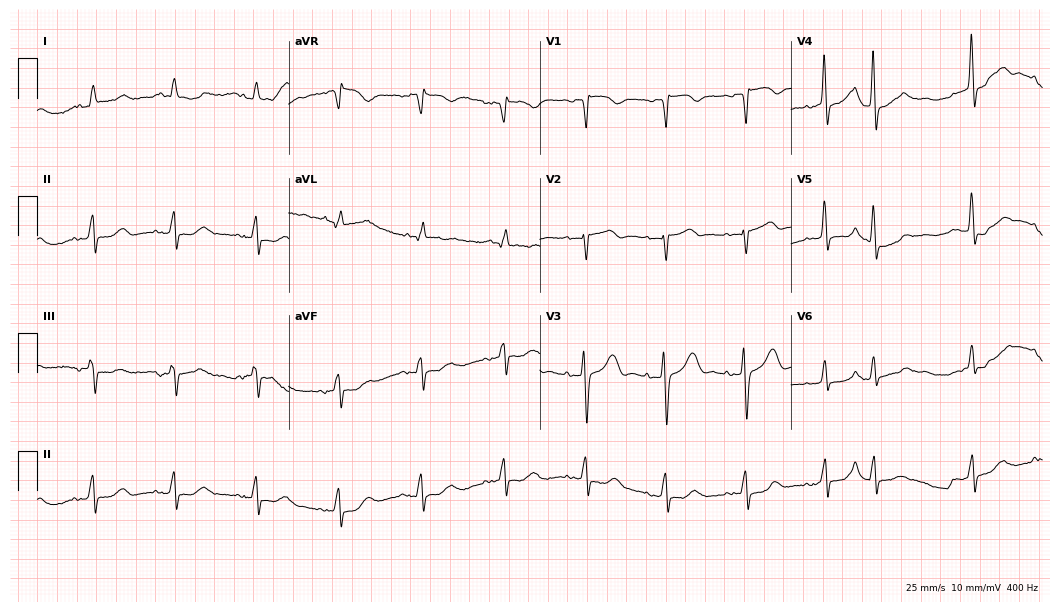
ECG (10.2-second recording at 400 Hz) — a man, 80 years old. Screened for six findings — first-degree AV block, right bundle branch block (RBBB), left bundle branch block (LBBB), sinus bradycardia, atrial fibrillation (AF), sinus tachycardia — none is recorded.